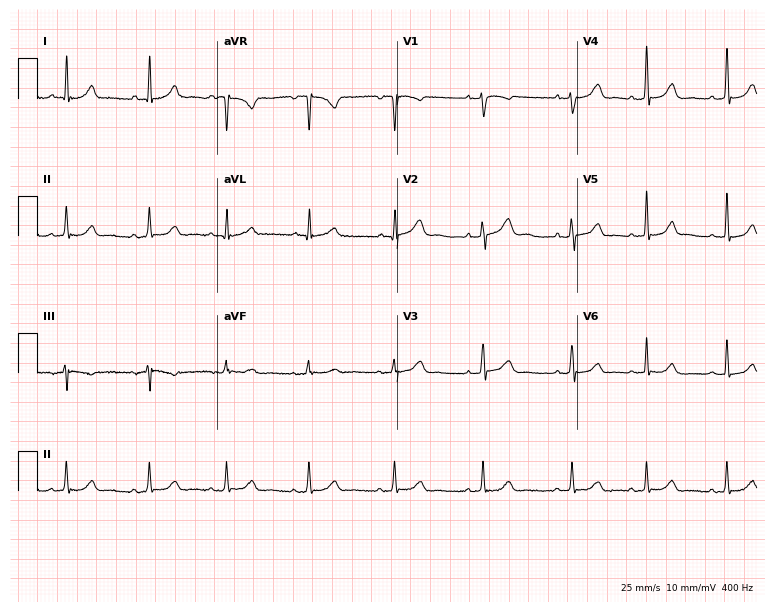
Electrocardiogram, a female patient, 39 years old. Of the six screened findings (first-degree AV block, right bundle branch block, left bundle branch block, sinus bradycardia, atrial fibrillation, sinus tachycardia), none is recorded. Findings outside these six are not listed.